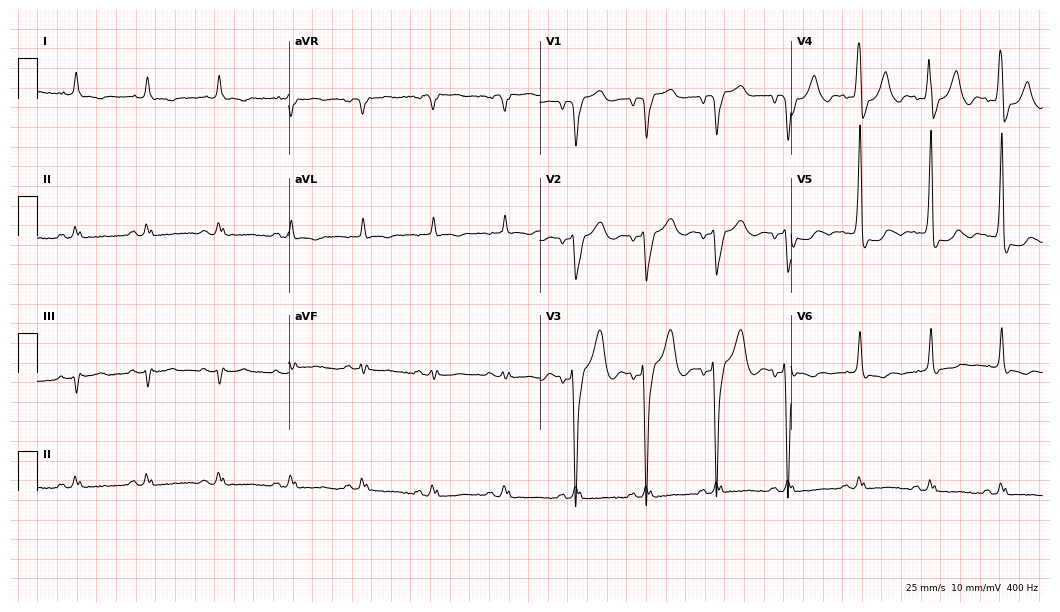
ECG — a man, 70 years old. Screened for six findings — first-degree AV block, right bundle branch block, left bundle branch block, sinus bradycardia, atrial fibrillation, sinus tachycardia — none is recorded. Other findings, if any, are not listed.